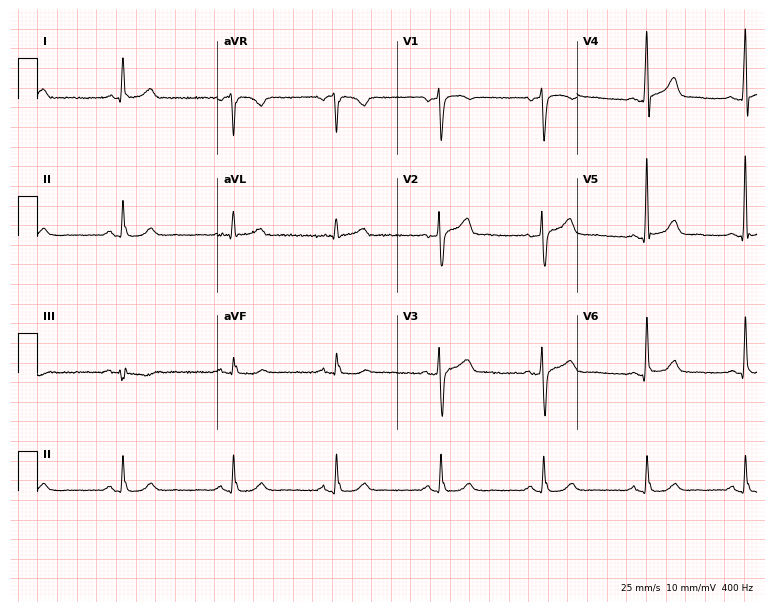
12-lead ECG from a 59-year-old male patient. Recorded interpretation: within normal limits.